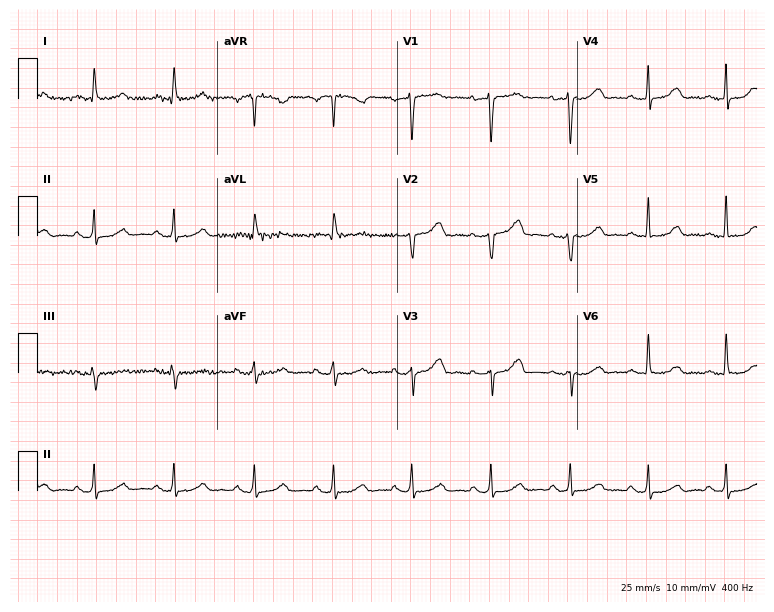
ECG (7.3-second recording at 400 Hz) — a 58-year-old female. Screened for six findings — first-degree AV block, right bundle branch block (RBBB), left bundle branch block (LBBB), sinus bradycardia, atrial fibrillation (AF), sinus tachycardia — none is recorded. Findings outside these six are not listed.